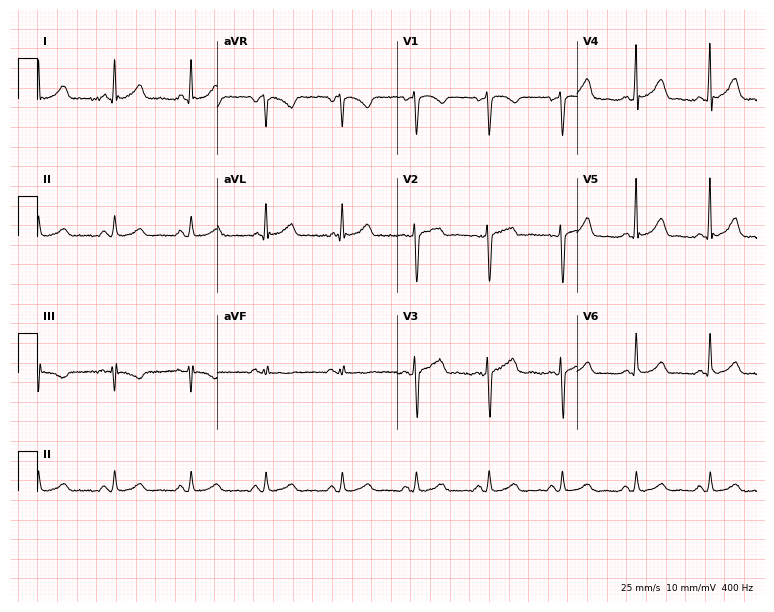
12-lead ECG from a female patient, 47 years old. No first-degree AV block, right bundle branch block, left bundle branch block, sinus bradycardia, atrial fibrillation or sinus tachycardia recorded for this tracing.